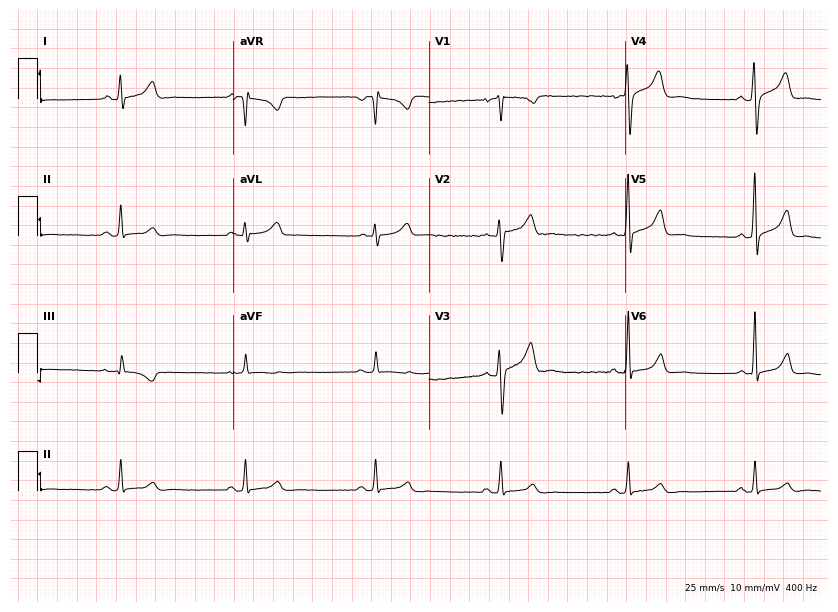
12-lead ECG from a male, 34 years old. Labelled as a normal ECG.